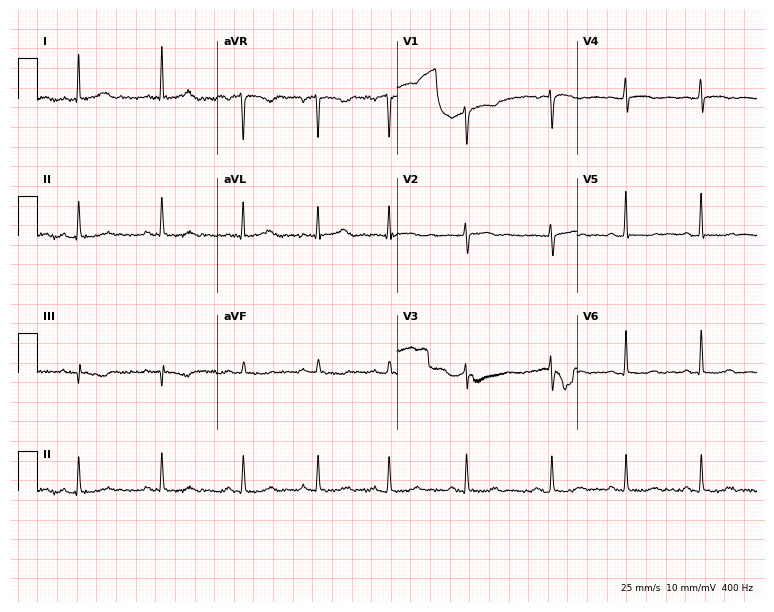
Electrocardiogram (7.3-second recording at 400 Hz), a woman, 36 years old. Of the six screened findings (first-degree AV block, right bundle branch block, left bundle branch block, sinus bradycardia, atrial fibrillation, sinus tachycardia), none is recorded.